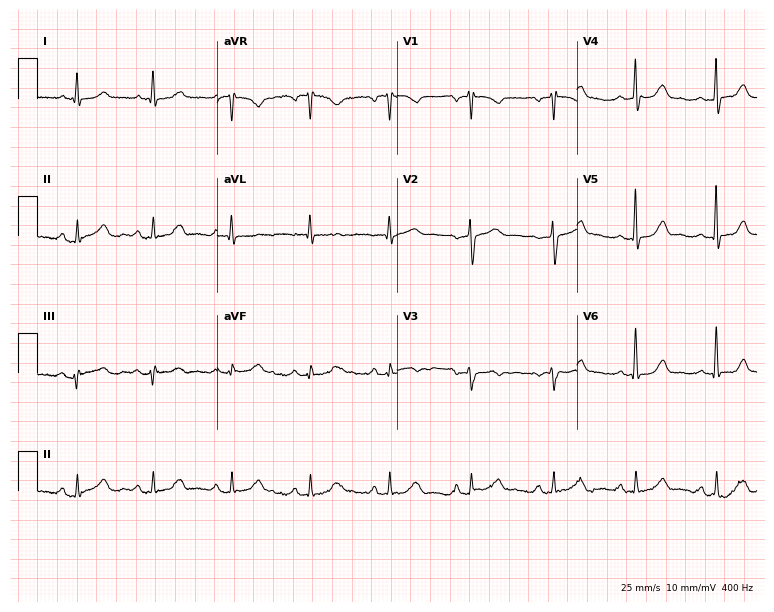
12-lead ECG from a woman, 62 years old. Recorded interpretation: within normal limits.